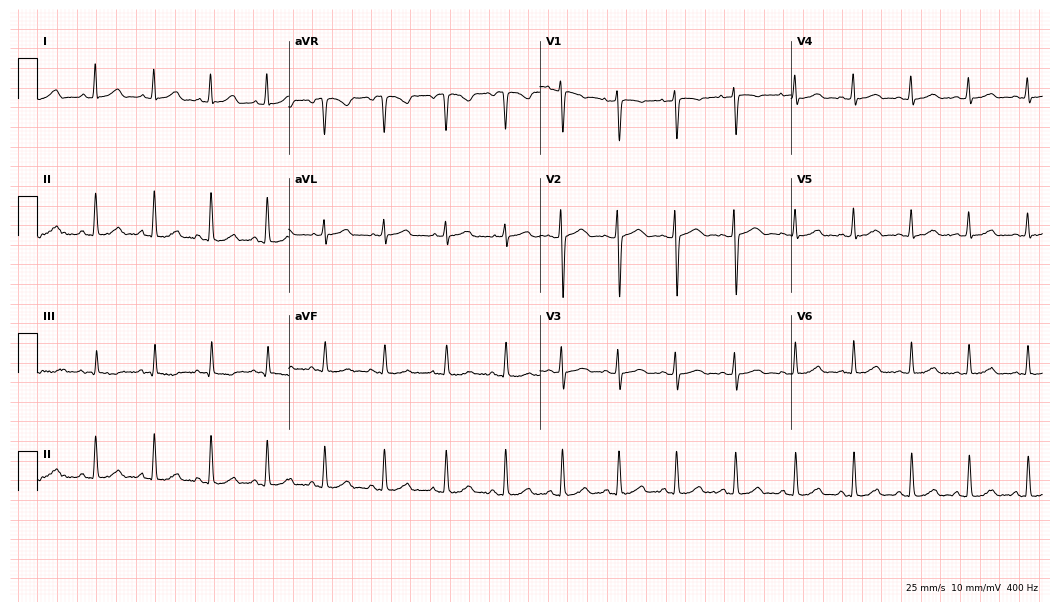
ECG — a 20-year-old female patient. Findings include sinus tachycardia (a sinus rate of 100 beats per minute or more).